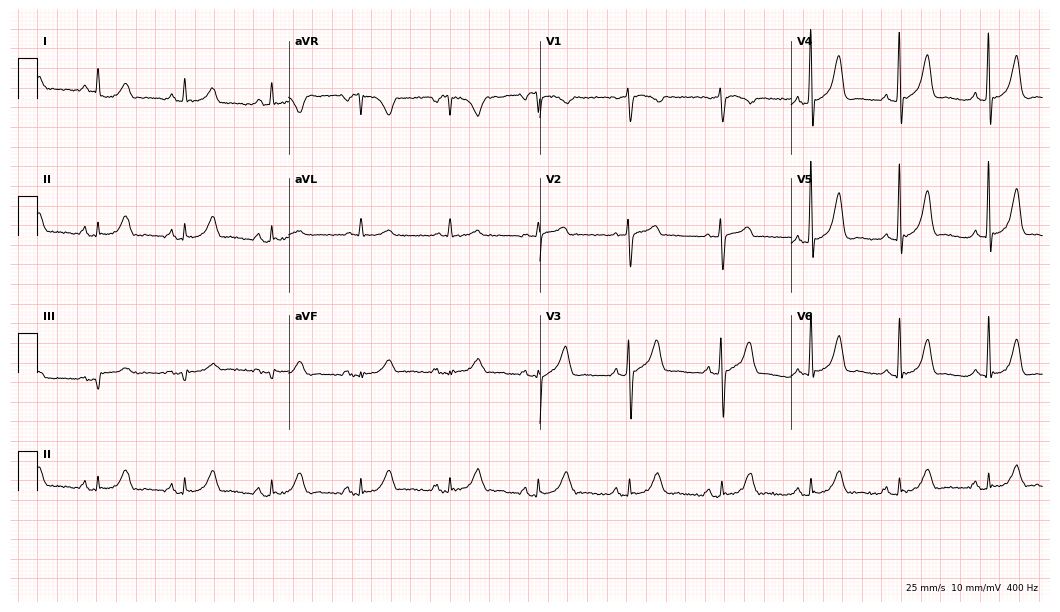
Resting 12-lead electrocardiogram (10.2-second recording at 400 Hz). Patient: a 69-year-old male. None of these six findings is recorded: first-degree AV block, right bundle branch block, left bundle branch block, sinus bradycardia, atrial fibrillation, sinus tachycardia.